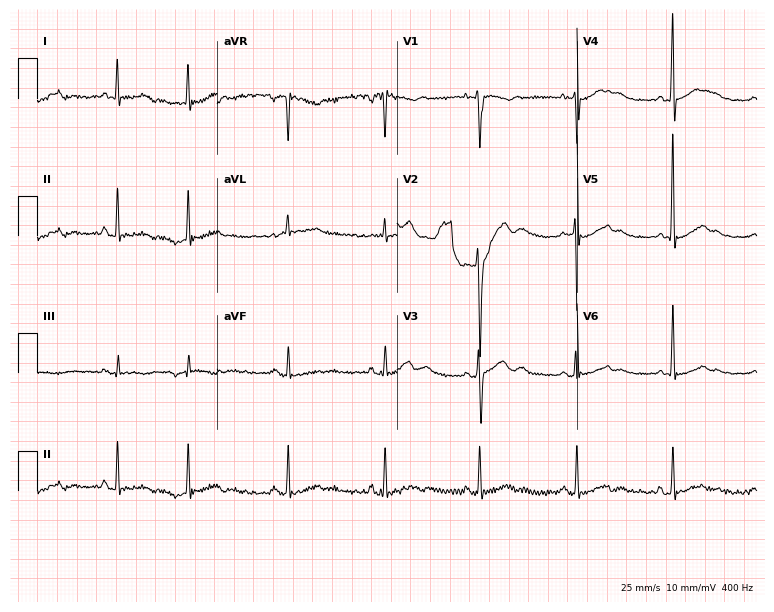
Standard 12-lead ECG recorded from a 23-year-old man (7.3-second recording at 400 Hz). None of these six findings is recorded: first-degree AV block, right bundle branch block, left bundle branch block, sinus bradycardia, atrial fibrillation, sinus tachycardia.